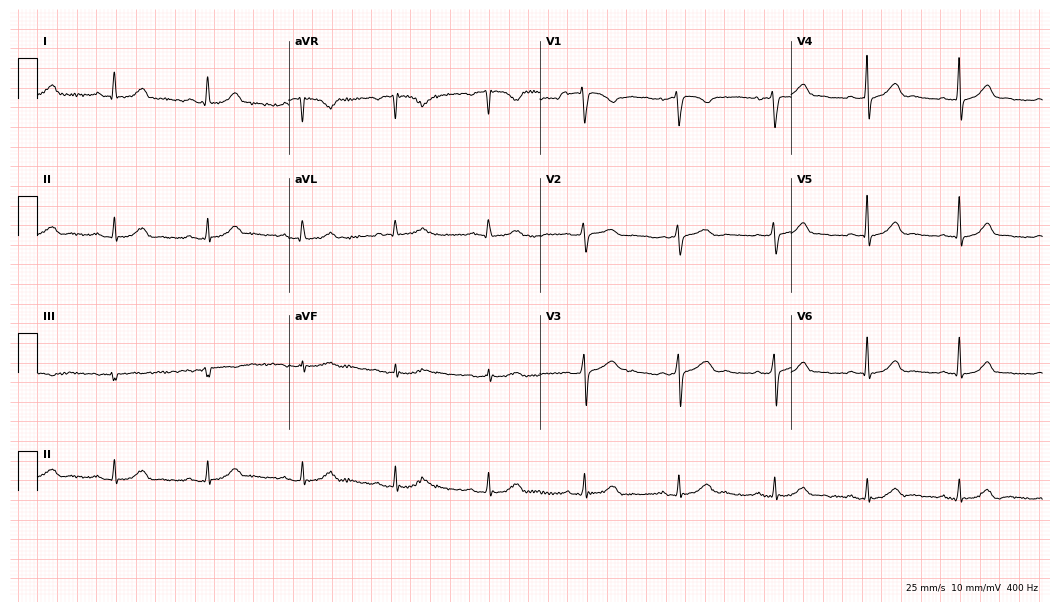
Standard 12-lead ECG recorded from a woman, 38 years old. Read as a normal ECG.